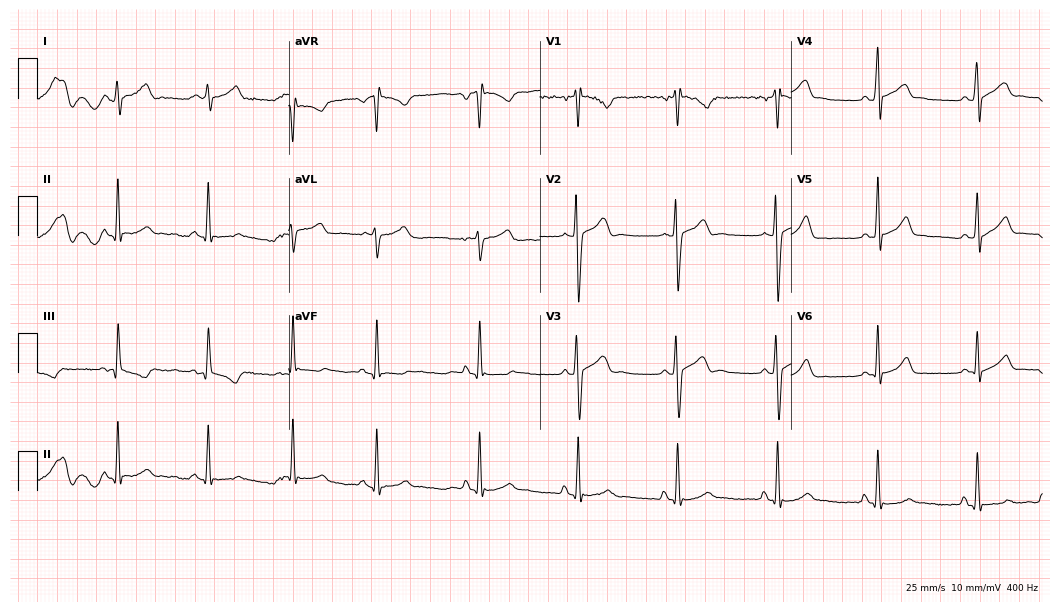
12-lead ECG (10.2-second recording at 400 Hz) from a man, 18 years old. Screened for six findings — first-degree AV block, right bundle branch block, left bundle branch block, sinus bradycardia, atrial fibrillation, sinus tachycardia — none is recorded.